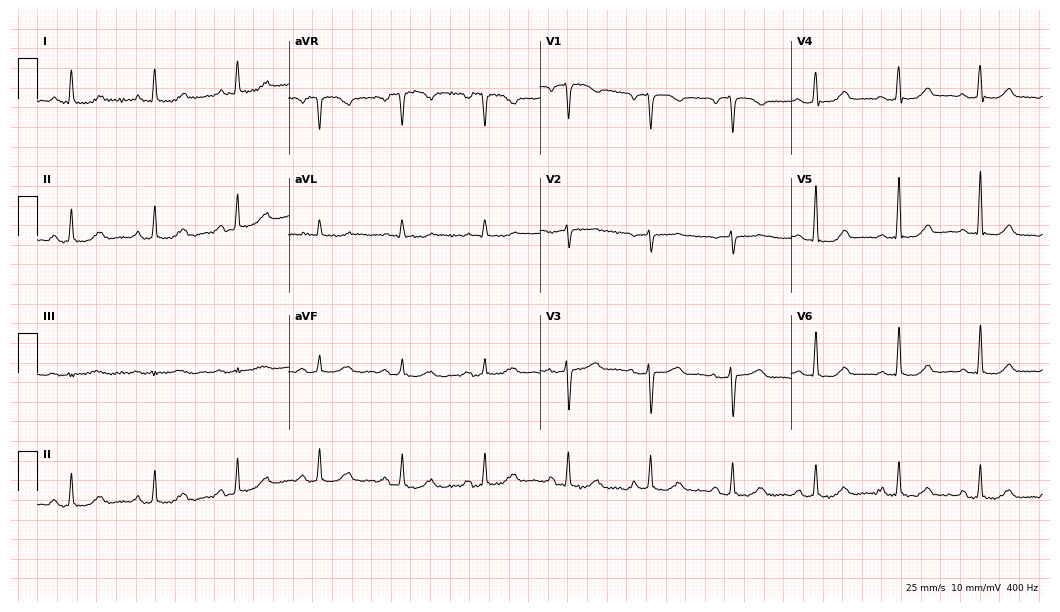
12-lead ECG from a 64-year-old woman. Recorded interpretation: within normal limits.